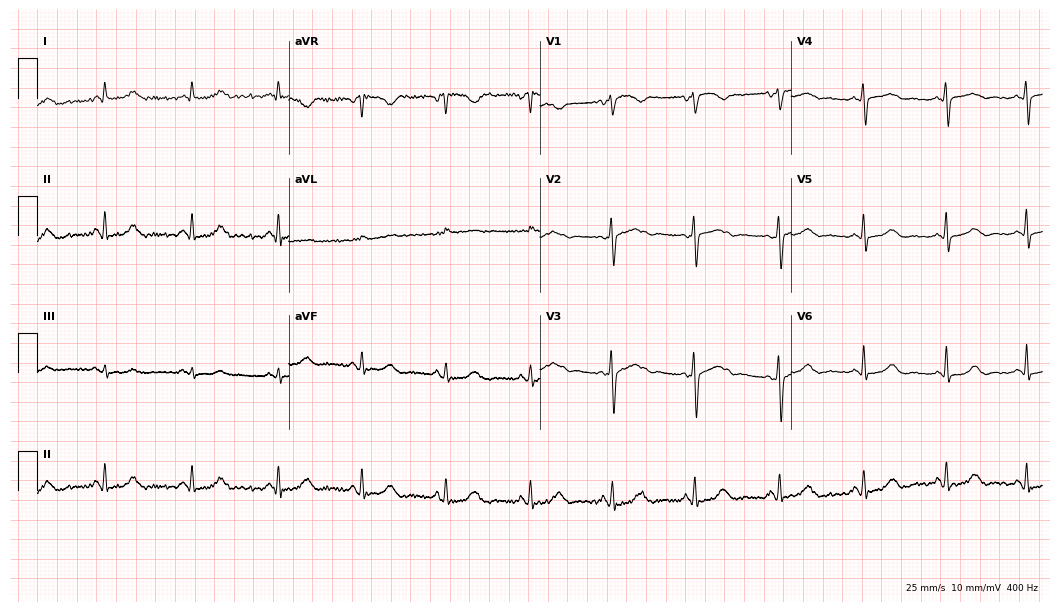
12-lead ECG from a 62-year-old female patient. Recorded interpretation: within normal limits.